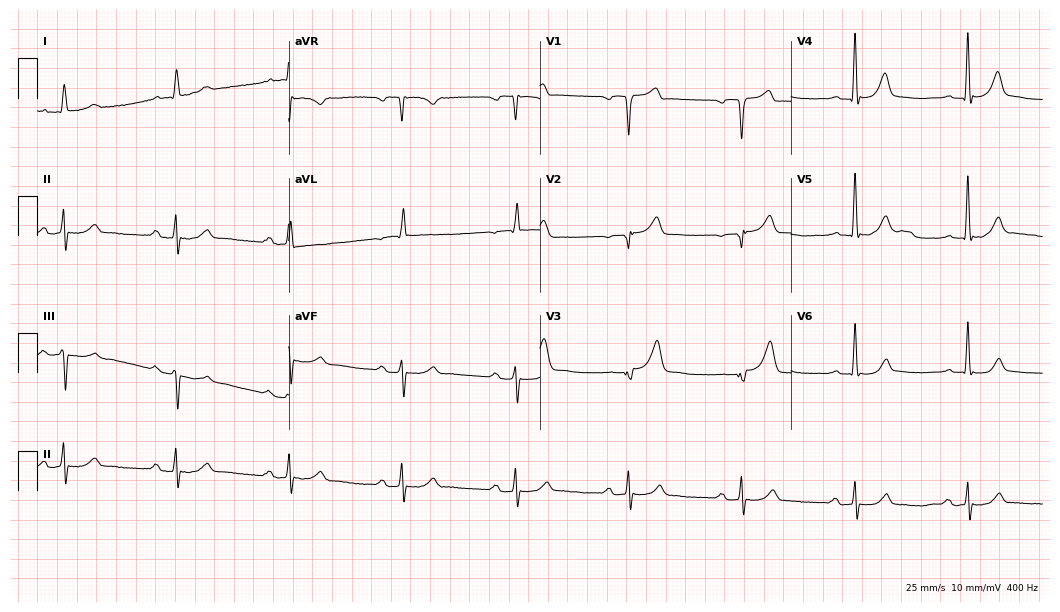
Standard 12-lead ECG recorded from a 72-year-old male patient (10.2-second recording at 400 Hz). The tracing shows first-degree AV block.